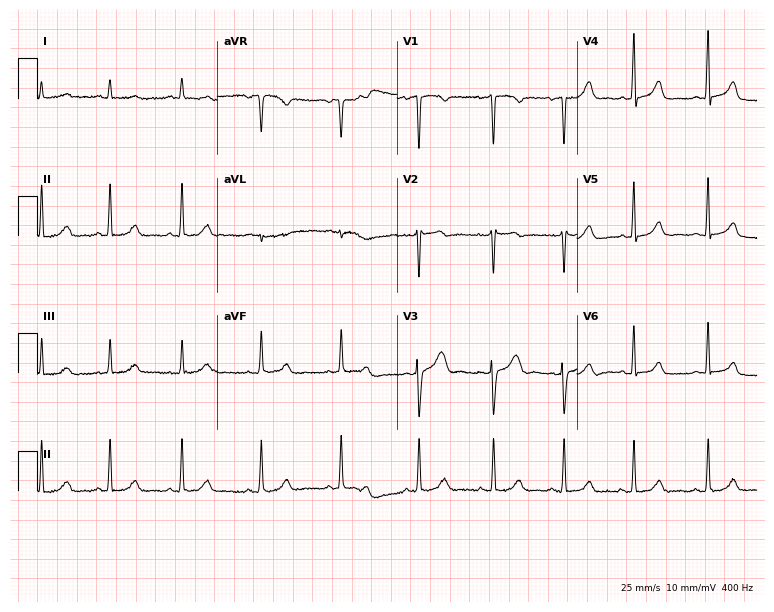
12-lead ECG (7.3-second recording at 400 Hz) from a 28-year-old female patient. Screened for six findings — first-degree AV block, right bundle branch block (RBBB), left bundle branch block (LBBB), sinus bradycardia, atrial fibrillation (AF), sinus tachycardia — none is recorded. Findings outside these six are not listed.